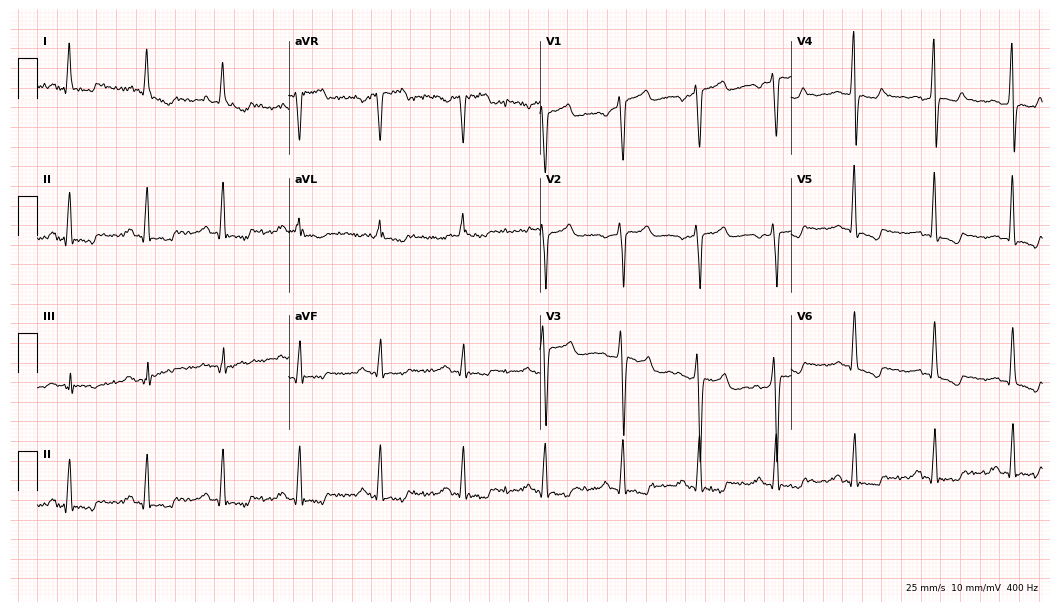
Electrocardiogram, a male, 51 years old. Of the six screened findings (first-degree AV block, right bundle branch block (RBBB), left bundle branch block (LBBB), sinus bradycardia, atrial fibrillation (AF), sinus tachycardia), none is recorded. Other findings, if any, are not listed.